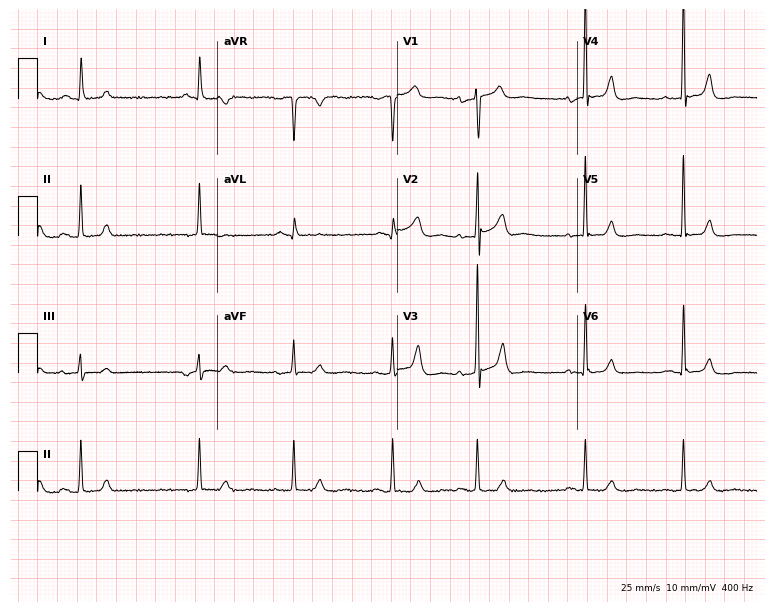
12-lead ECG from a 66-year-old woman (7.3-second recording at 400 Hz). No first-degree AV block, right bundle branch block (RBBB), left bundle branch block (LBBB), sinus bradycardia, atrial fibrillation (AF) or sinus tachycardia recorded for this tracing. Only these six findings were labelled.